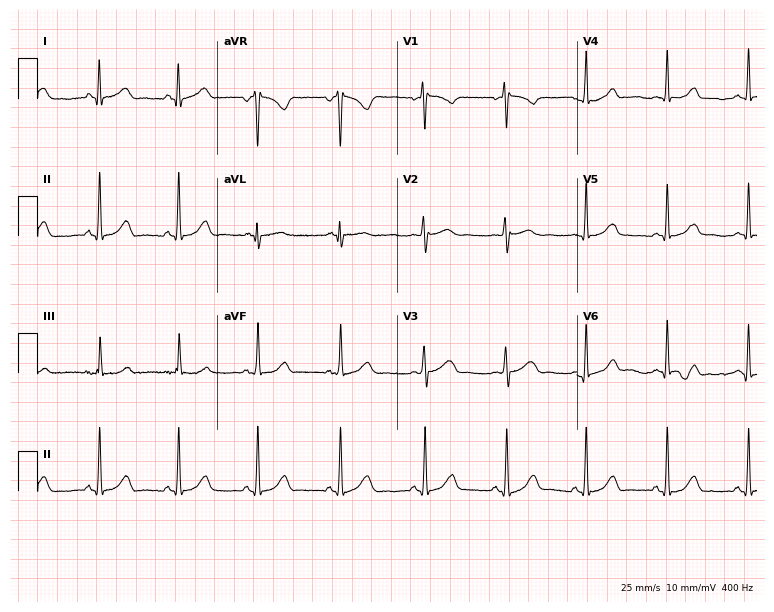
12-lead ECG (7.3-second recording at 400 Hz) from a woman, 31 years old. Labelled as a normal ECG.